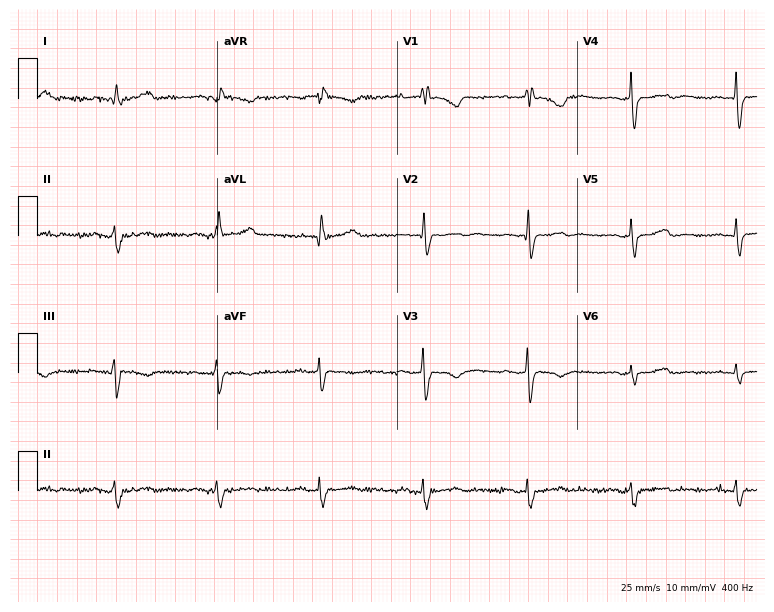
12-lead ECG from a 67-year-old male patient. Shows right bundle branch block.